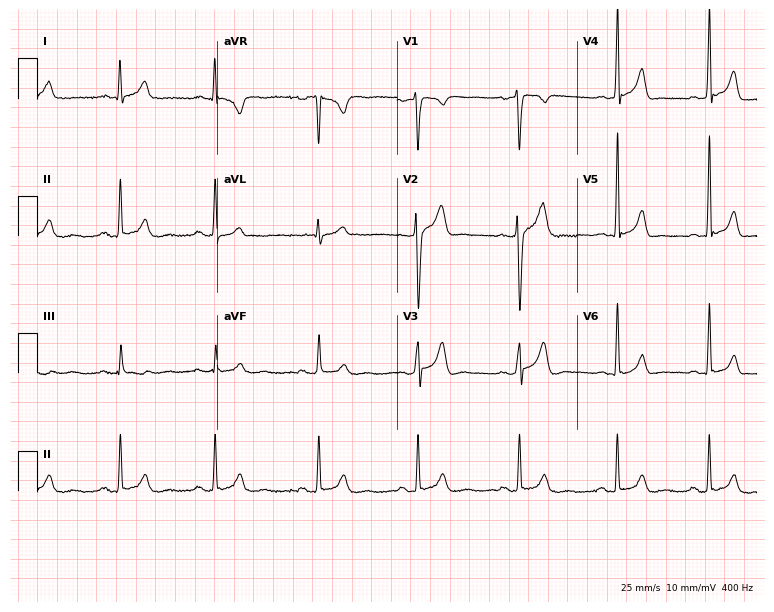
12-lead ECG from a 31-year-old male patient (7.3-second recording at 400 Hz). Recorded interpretation: within normal limits.